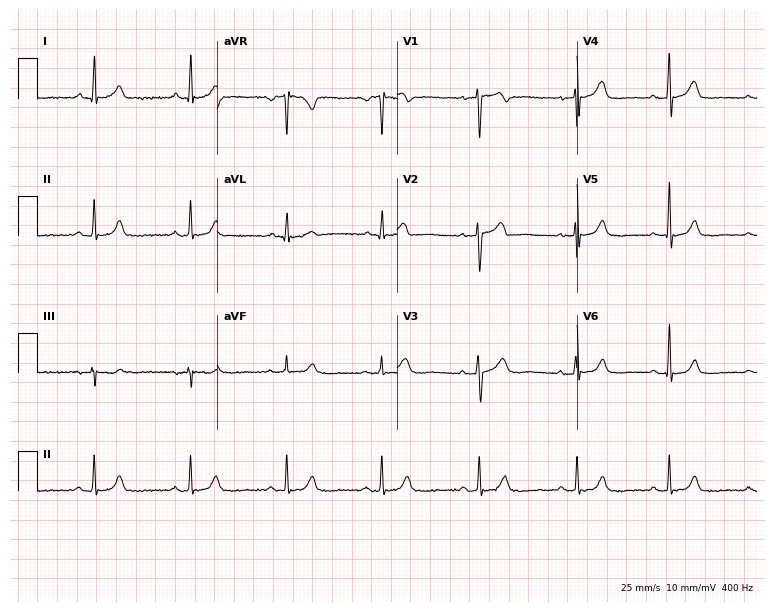
Standard 12-lead ECG recorded from a 46-year-old woman (7.3-second recording at 400 Hz). Read as a normal ECG.